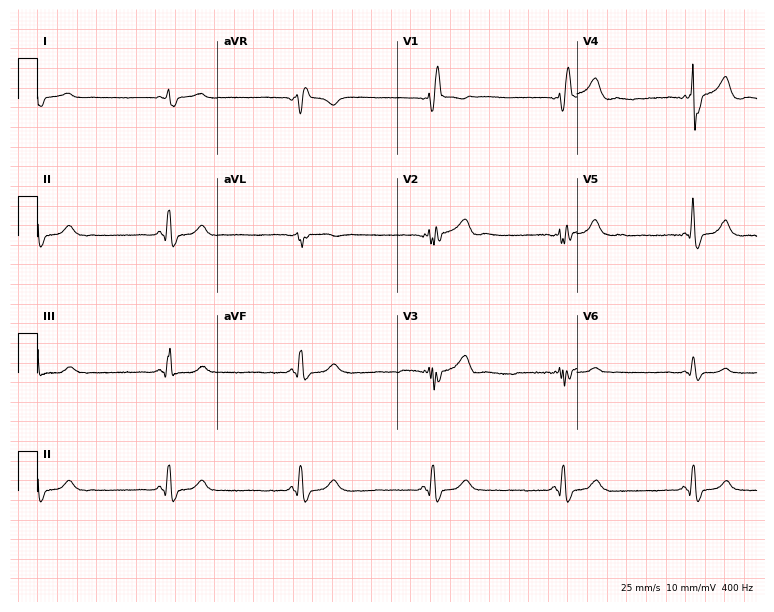
12-lead ECG from a male, 60 years old. Findings include right bundle branch block, sinus bradycardia (a sinus rate of 50 beats per minute or less).